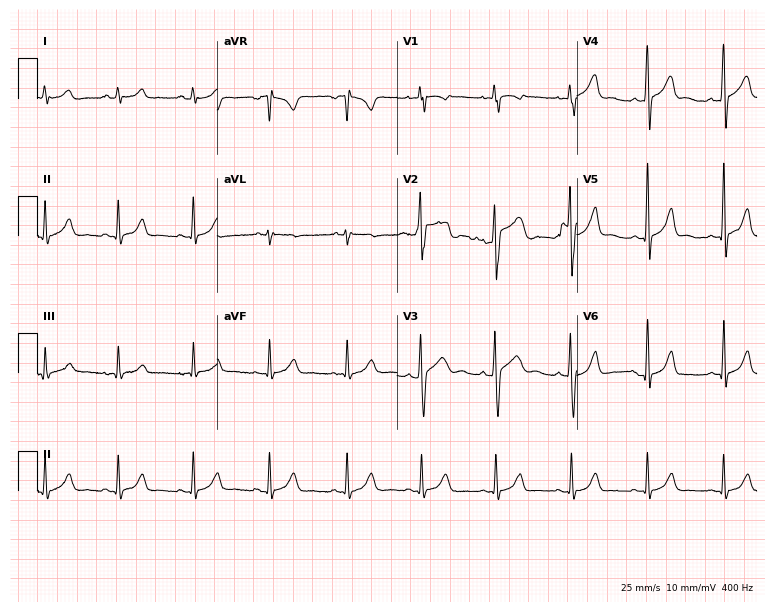
ECG — a male patient, 17 years old. Labelled as a normal ECG.